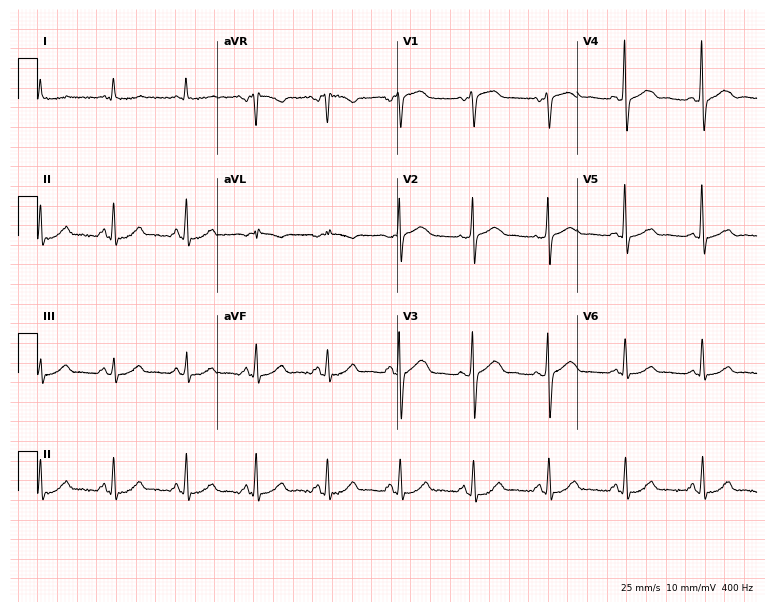
ECG — a woman, 71 years old. Labelled as a normal ECG.